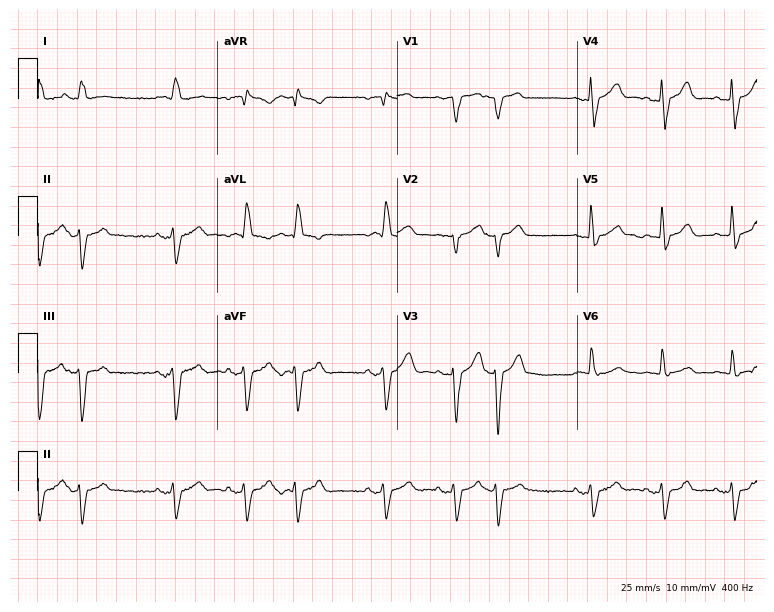
ECG (7.3-second recording at 400 Hz) — a 78-year-old man. Screened for six findings — first-degree AV block, right bundle branch block, left bundle branch block, sinus bradycardia, atrial fibrillation, sinus tachycardia — none is recorded. Findings outside these six are not listed.